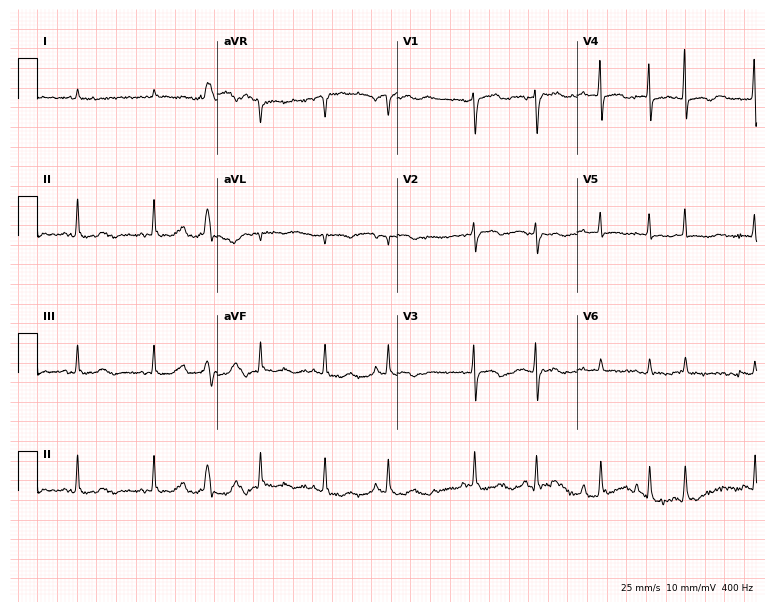
Electrocardiogram (7.3-second recording at 400 Hz), an 85-year-old man. Of the six screened findings (first-degree AV block, right bundle branch block, left bundle branch block, sinus bradycardia, atrial fibrillation, sinus tachycardia), none is recorded.